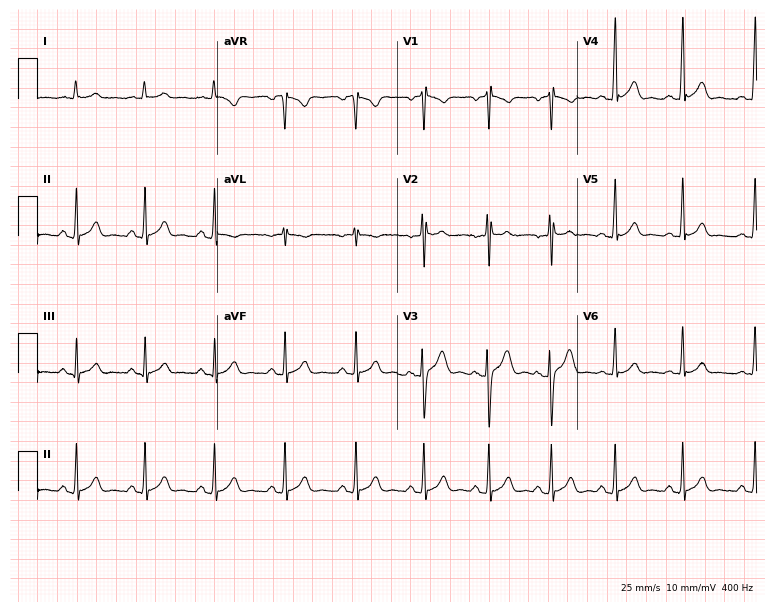
12-lead ECG from a 19-year-old male patient. Recorded interpretation: within normal limits.